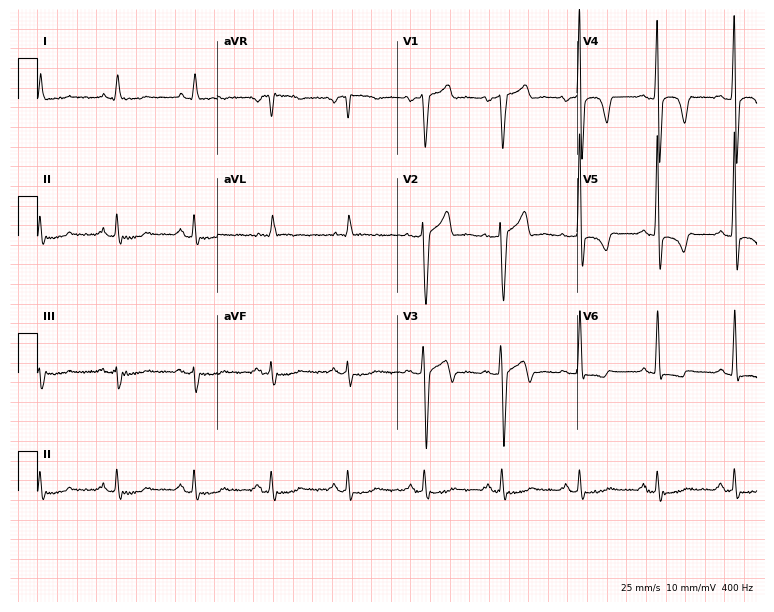
Standard 12-lead ECG recorded from a male patient, 56 years old. None of these six findings is recorded: first-degree AV block, right bundle branch block (RBBB), left bundle branch block (LBBB), sinus bradycardia, atrial fibrillation (AF), sinus tachycardia. Findings outside these six are not listed.